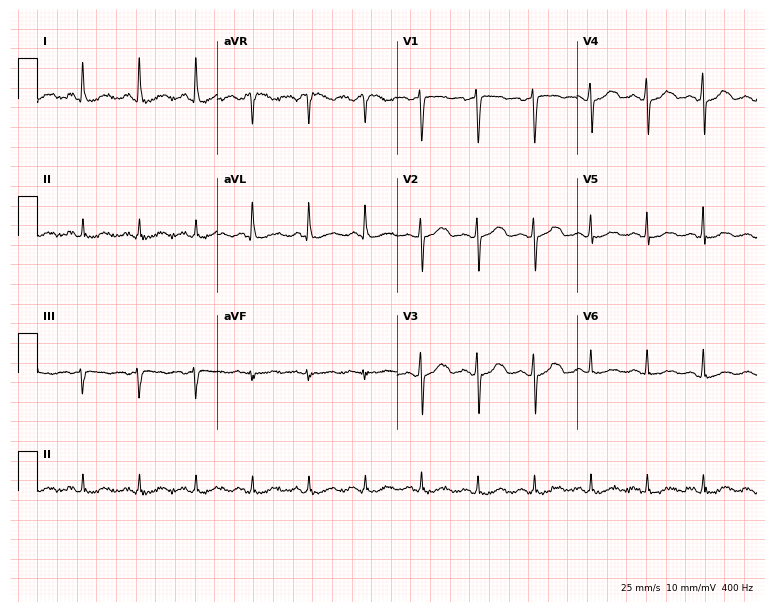
12-lead ECG from a 66-year-old female. Shows sinus tachycardia (a sinus rate of 100 beats per minute or more).